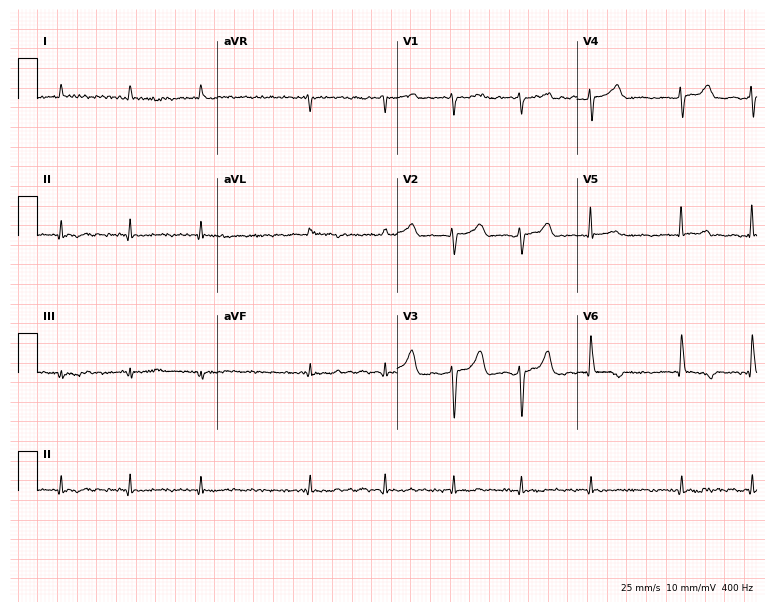
12-lead ECG from a male patient, 65 years old. Shows atrial fibrillation.